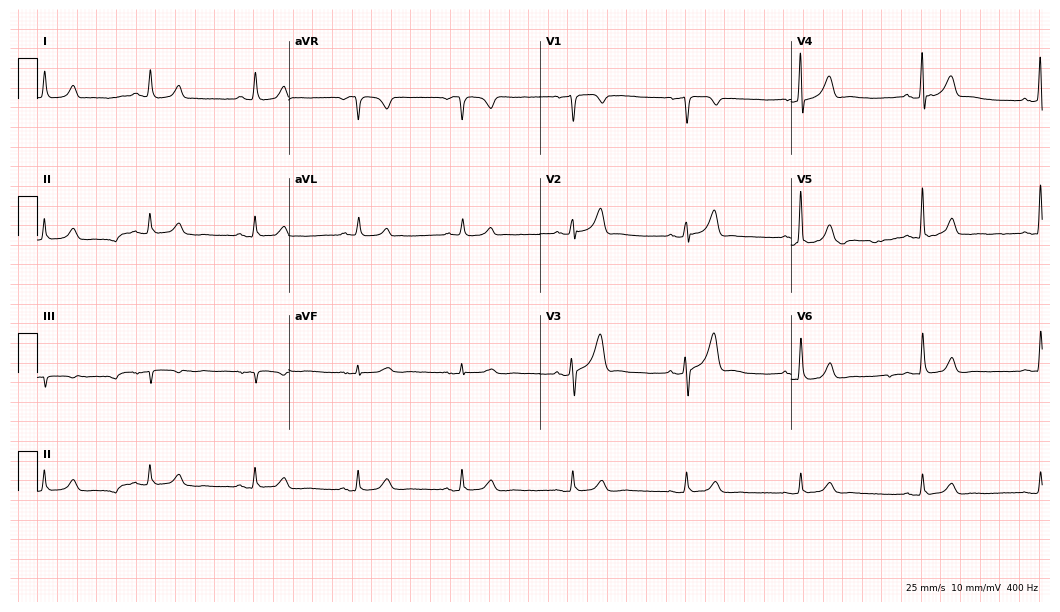
Standard 12-lead ECG recorded from a 62-year-old man. Read as a normal ECG.